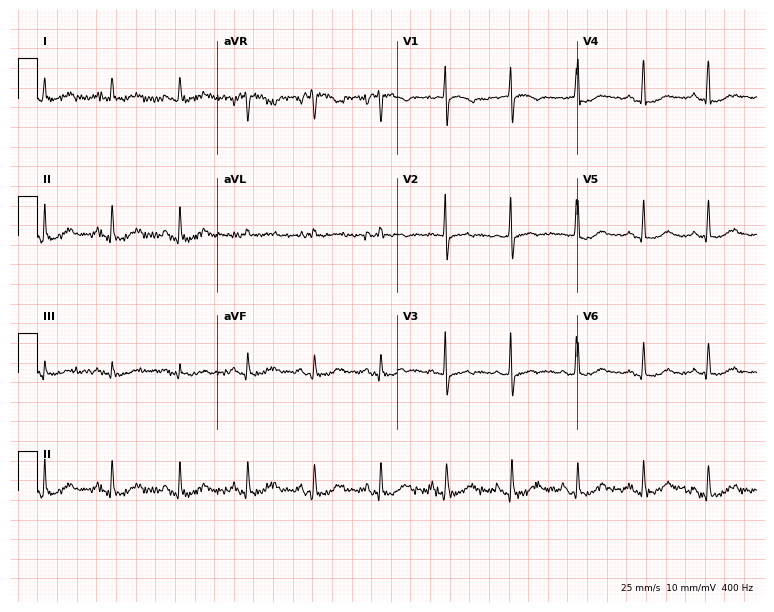
Electrocardiogram, a female, 66 years old. Of the six screened findings (first-degree AV block, right bundle branch block, left bundle branch block, sinus bradycardia, atrial fibrillation, sinus tachycardia), none is recorded.